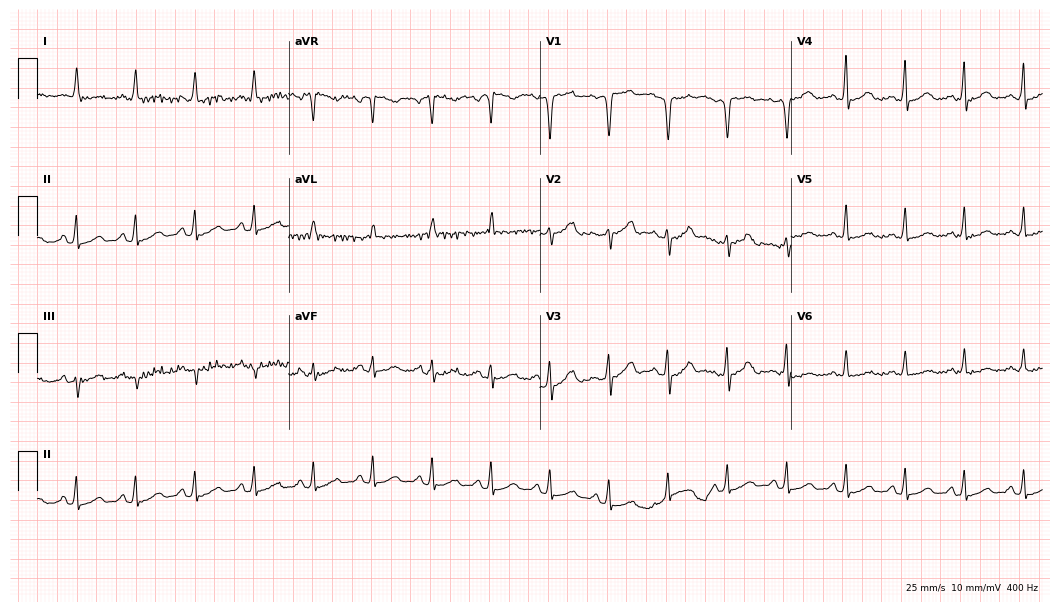
12-lead ECG (10.2-second recording at 400 Hz) from a woman, 62 years old. Labelled as a normal ECG.